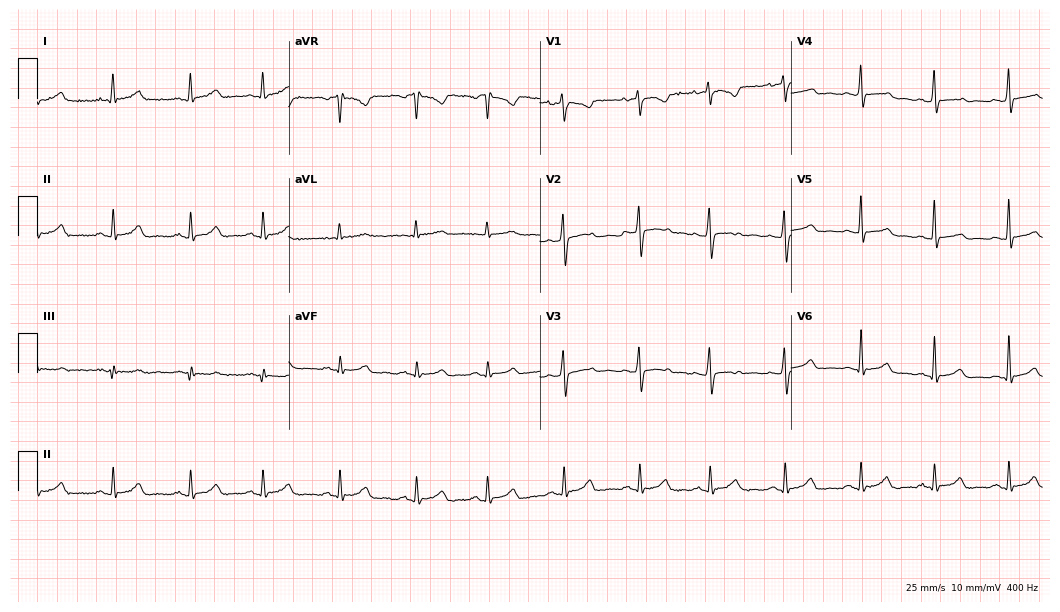
12-lead ECG (10.2-second recording at 400 Hz) from a 25-year-old woman. Screened for six findings — first-degree AV block, right bundle branch block, left bundle branch block, sinus bradycardia, atrial fibrillation, sinus tachycardia — none is recorded. Findings outside these six are not listed.